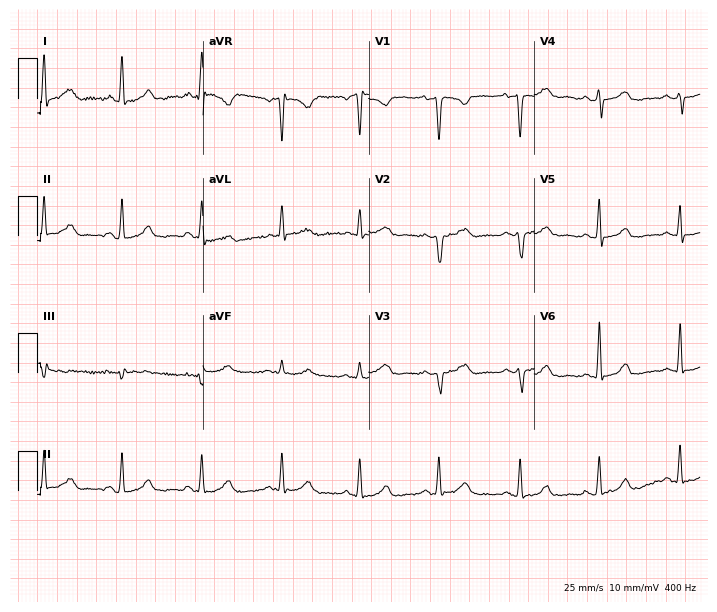
Resting 12-lead electrocardiogram (6.8-second recording at 400 Hz). Patient: a 28-year-old female. None of these six findings is recorded: first-degree AV block, right bundle branch block, left bundle branch block, sinus bradycardia, atrial fibrillation, sinus tachycardia. Other findings, if any, are not listed.